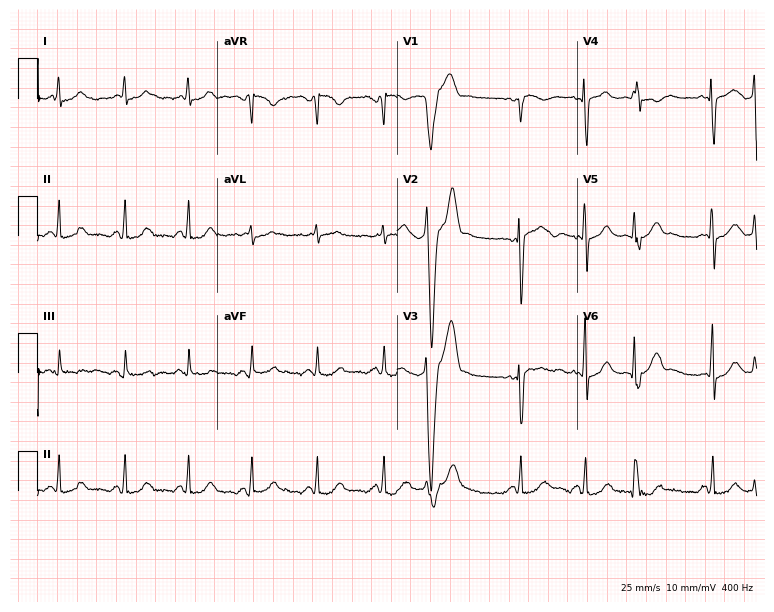
Resting 12-lead electrocardiogram. Patient: a 30-year-old woman. None of these six findings is recorded: first-degree AV block, right bundle branch block (RBBB), left bundle branch block (LBBB), sinus bradycardia, atrial fibrillation (AF), sinus tachycardia.